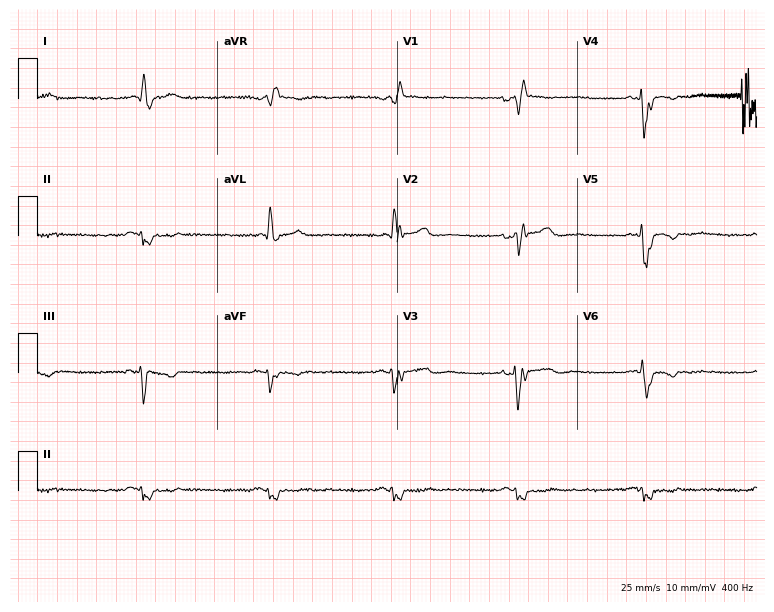
12-lead ECG from a male patient, 53 years old. Shows right bundle branch block, sinus bradycardia (a sinus rate of 50 beats per minute or less).